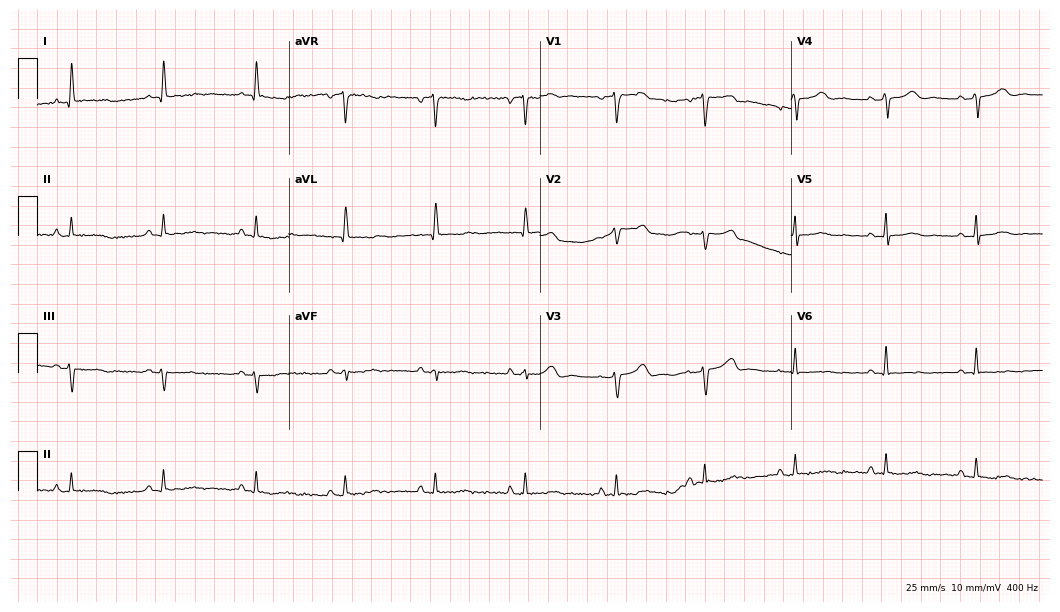
Resting 12-lead electrocardiogram (10.2-second recording at 400 Hz). Patient: a female, 71 years old. None of these six findings is recorded: first-degree AV block, right bundle branch block, left bundle branch block, sinus bradycardia, atrial fibrillation, sinus tachycardia. Only these six findings were labelled.